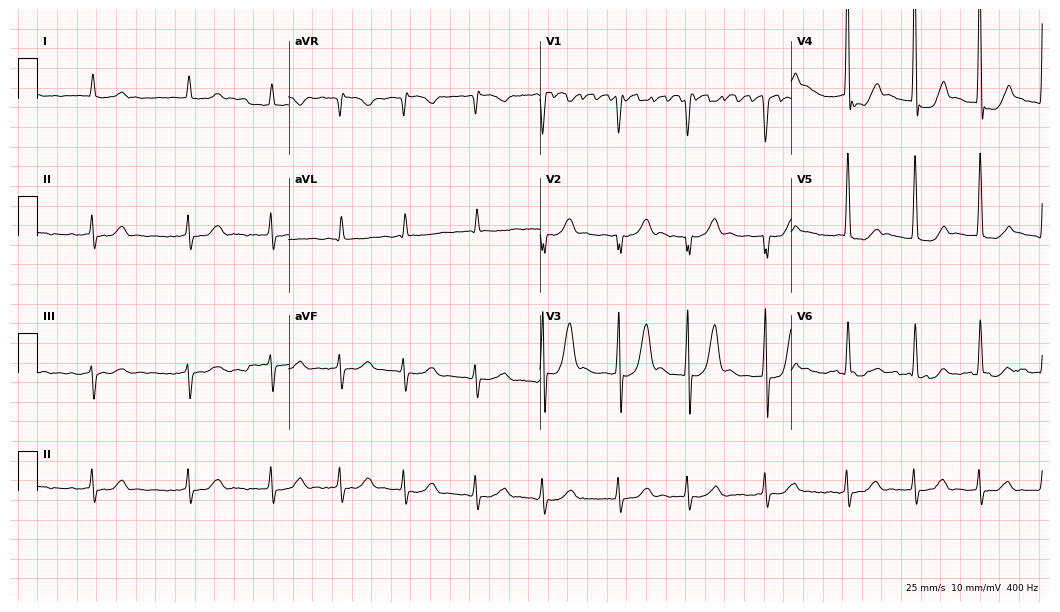
ECG — a 76-year-old male patient. Findings include atrial fibrillation.